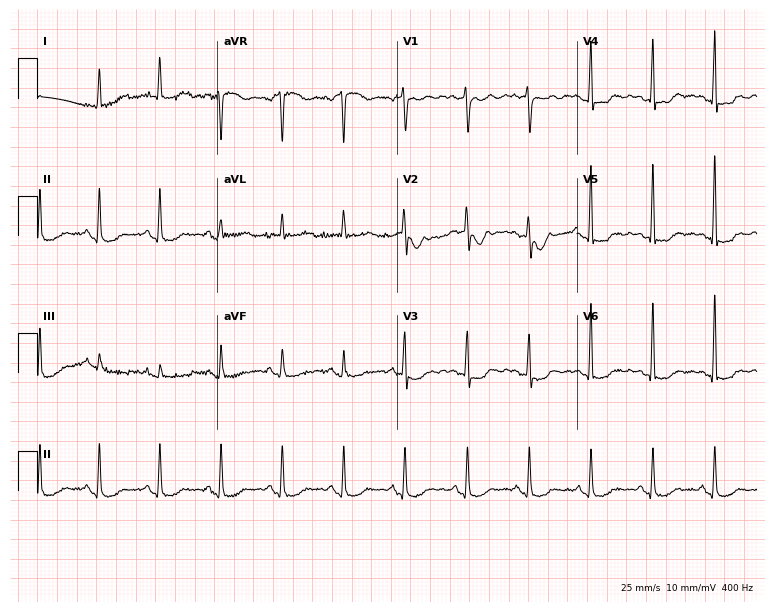
Resting 12-lead electrocardiogram (7.3-second recording at 400 Hz). Patient: a 62-year-old female. None of these six findings is recorded: first-degree AV block, right bundle branch block, left bundle branch block, sinus bradycardia, atrial fibrillation, sinus tachycardia. Findings outside these six are not listed.